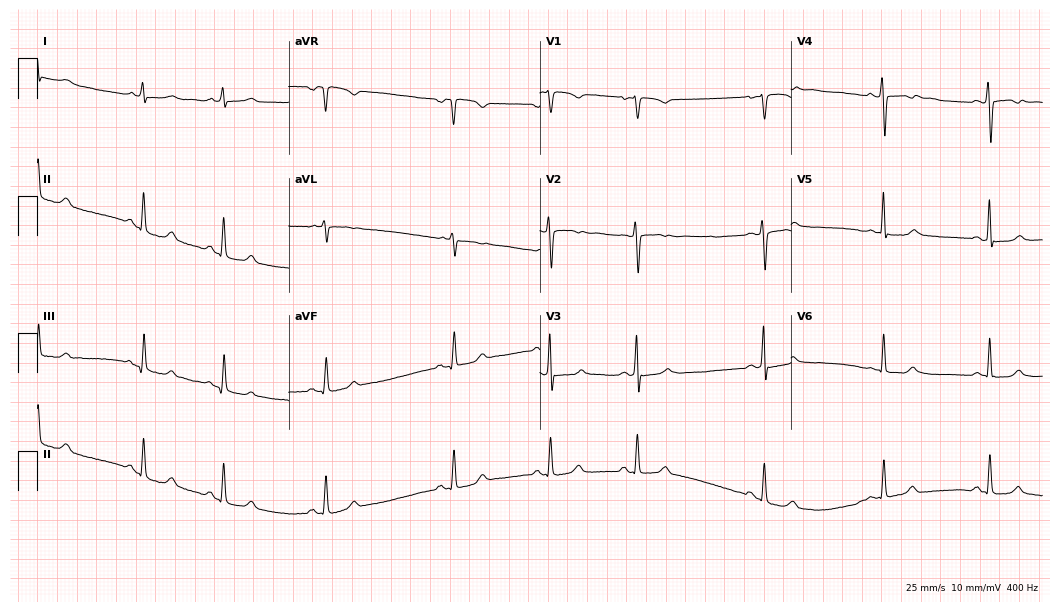
Electrocardiogram (10.2-second recording at 400 Hz), a woman, 37 years old. Of the six screened findings (first-degree AV block, right bundle branch block, left bundle branch block, sinus bradycardia, atrial fibrillation, sinus tachycardia), none is recorded. Findings outside these six are not listed.